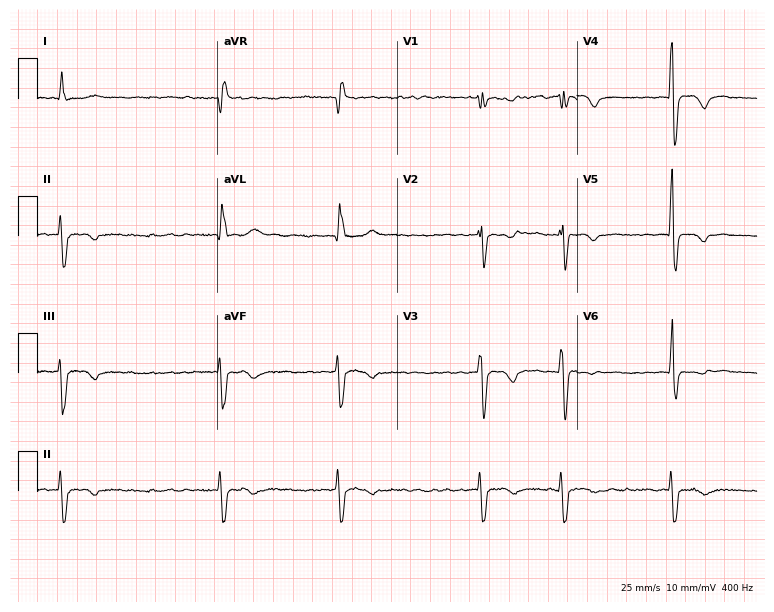
Resting 12-lead electrocardiogram. Patient: a 66-year-old female. The tracing shows right bundle branch block, atrial fibrillation.